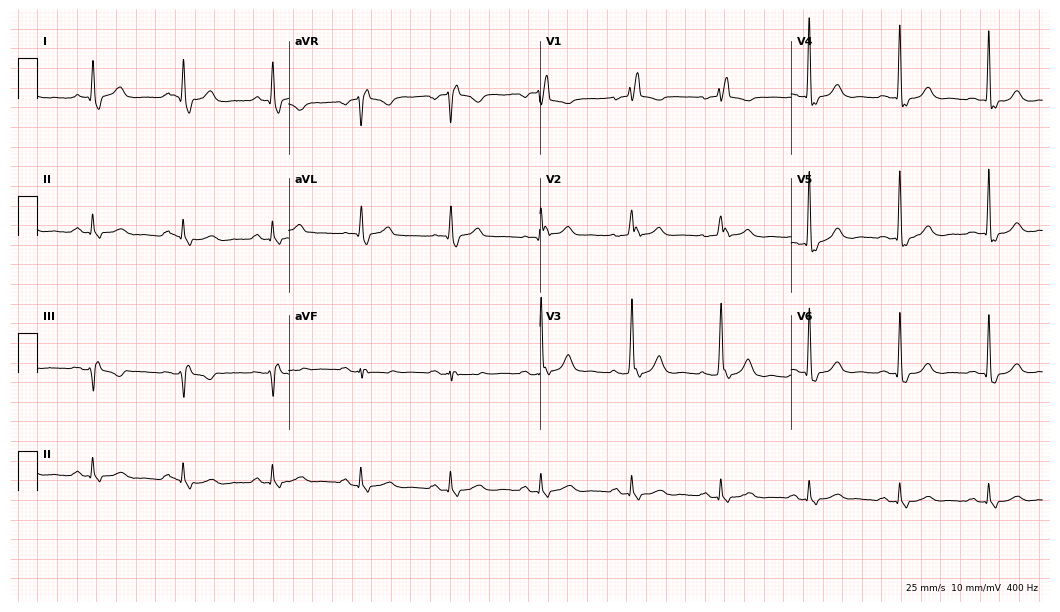
Electrocardiogram (10.2-second recording at 400 Hz), a 71-year-old male. Interpretation includes right bundle branch block.